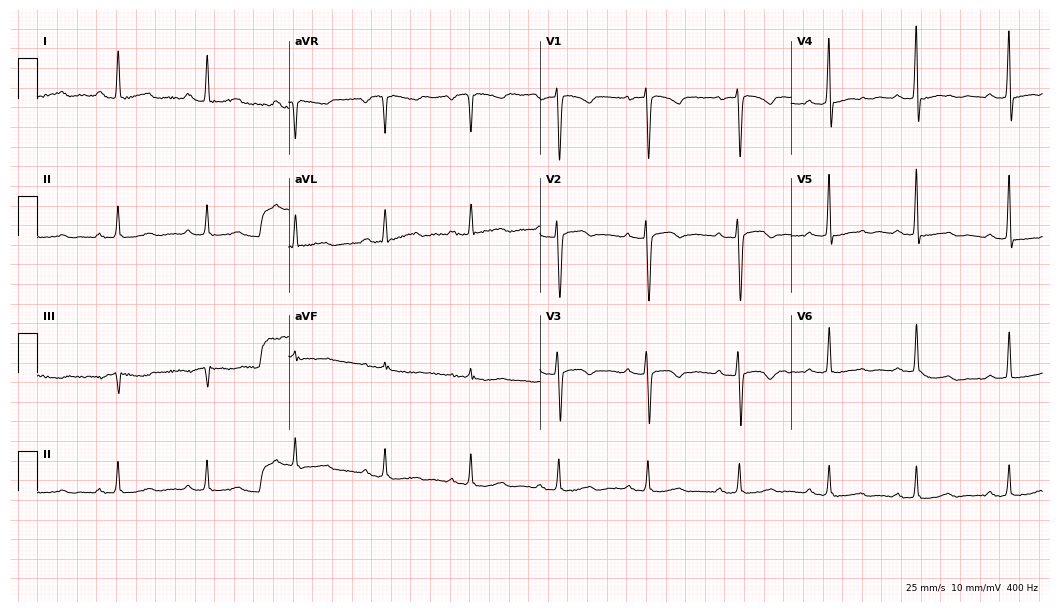
12-lead ECG from a woman, 61 years old. Screened for six findings — first-degree AV block, right bundle branch block, left bundle branch block, sinus bradycardia, atrial fibrillation, sinus tachycardia — none is recorded.